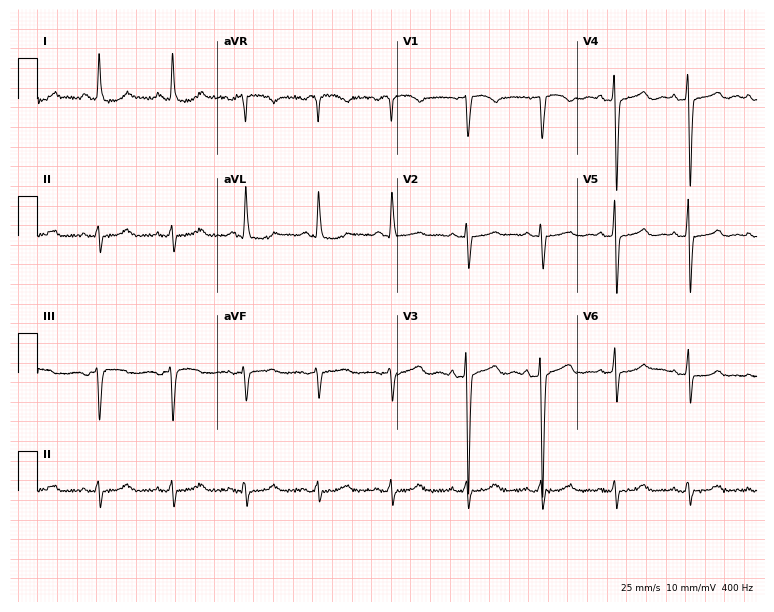
Electrocardiogram (7.3-second recording at 400 Hz), a female patient, 65 years old. Of the six screened findings (first-degree AV block, right bundle branch block, left bundle branch block, sinus bradycardia, atrial fibrillation, sinus tachycardia), none is recorded.